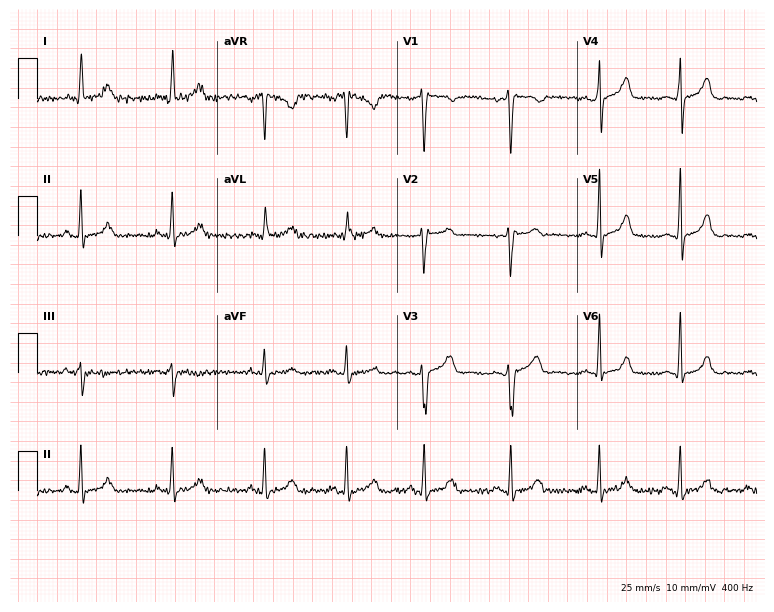
Standard 12-lead ECG recorded from a 38-year-old woman. Read as a normal ECG.